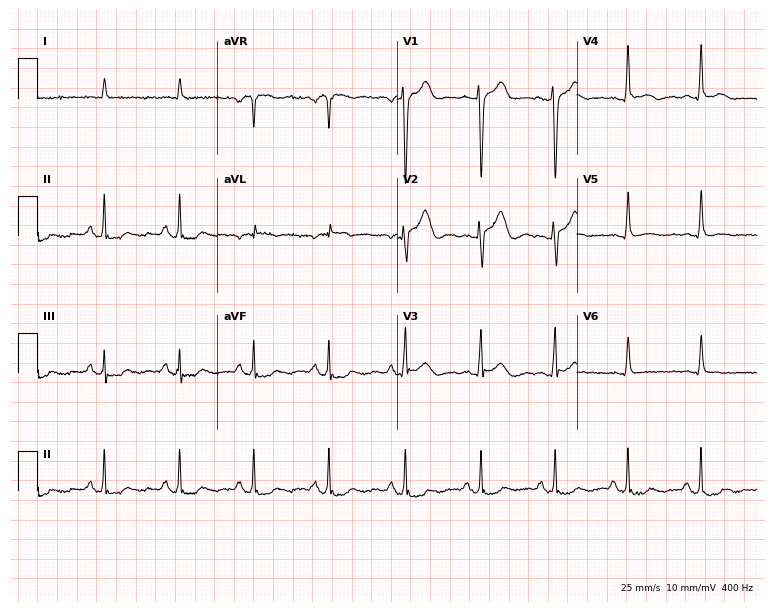
ECG (7.3-second recording at 400 Hz) — an 83-year-old man. Screened for six findings — first-degree AV block, right bundle branch block, left bundle branch block, sinus bradycardia, atrial fibrillation, sinus tachycardia — none is recorded. Other findings, if any, are not listed.